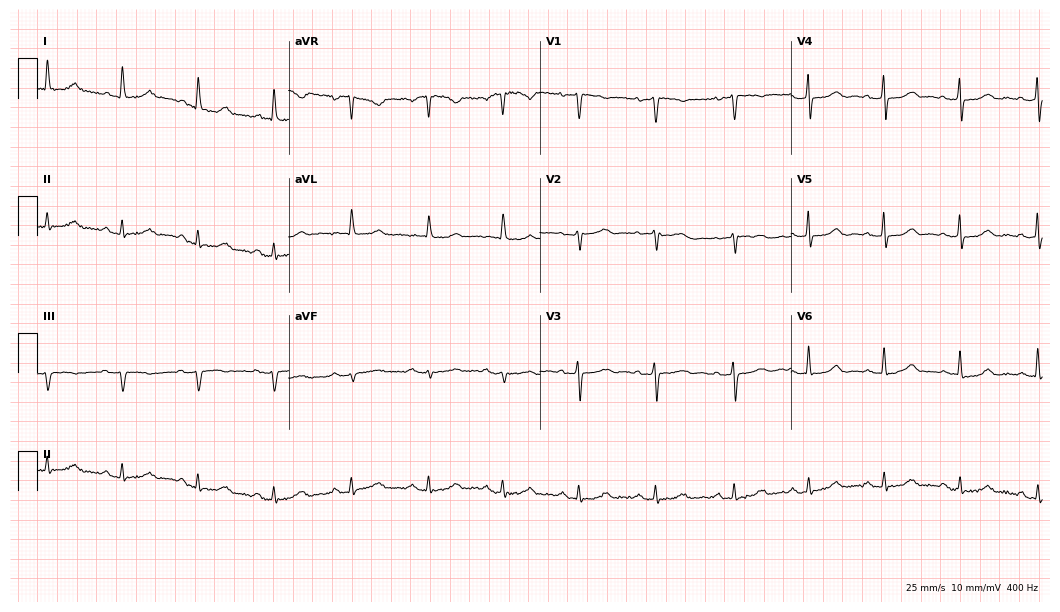
12-lead ECG from a female, 67 years old (10.2-second recording at 400 Hz). Recorded interpretation: within normal limits.